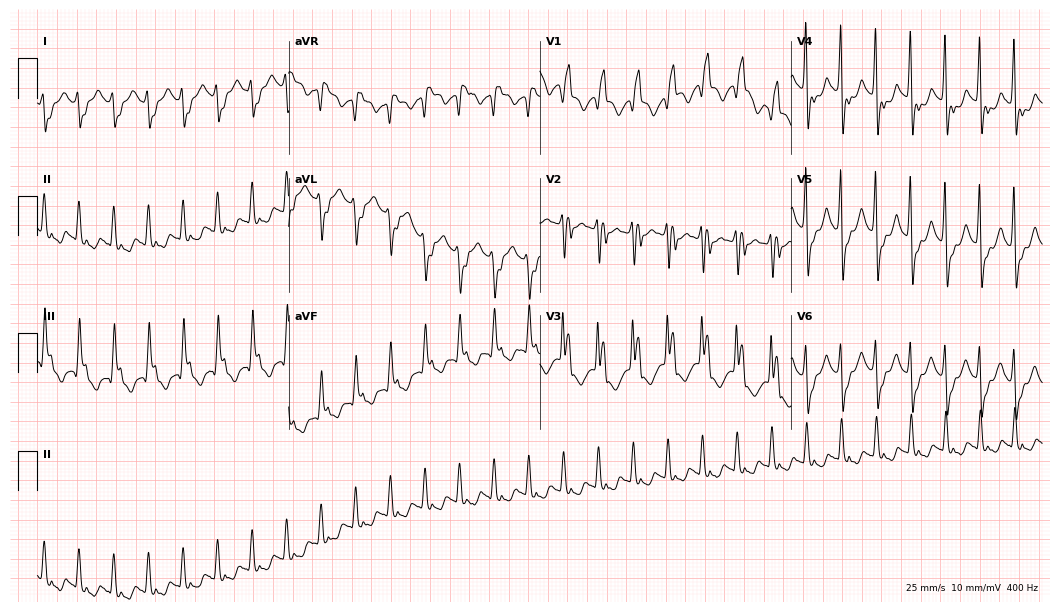
ECG — a 68-year-old man. Screened for six findings — first-degree AV block, right bundle branch block, left bundle branch block, sinus bradycardia, atrial fibrillation, sinus tachycardia — none is recorded. Other findings, if any, are not listed.